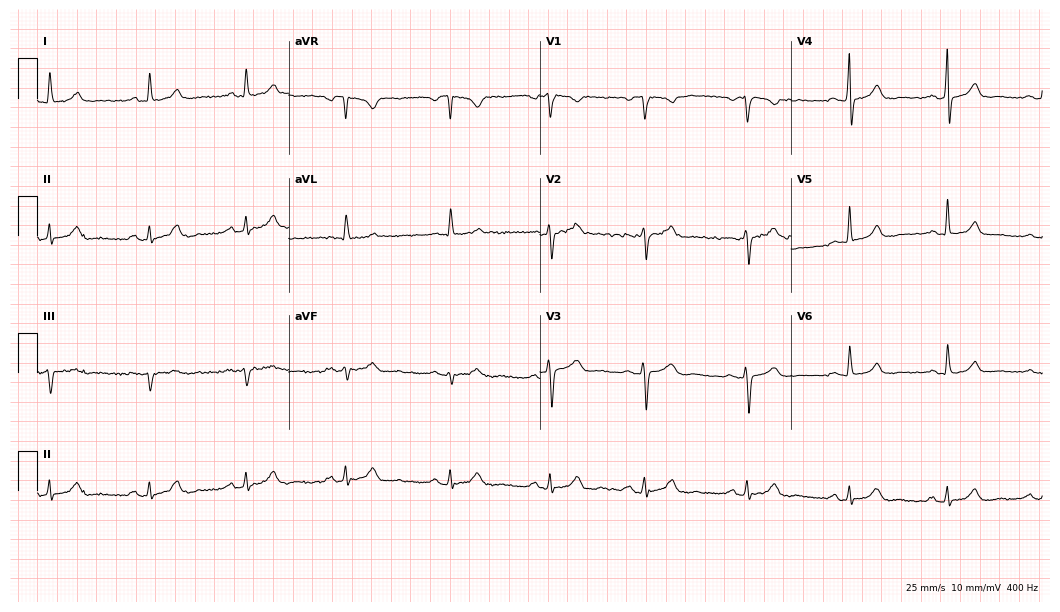
12-lead ECG from a female, 30 years old. Labelled as a normal ECG.